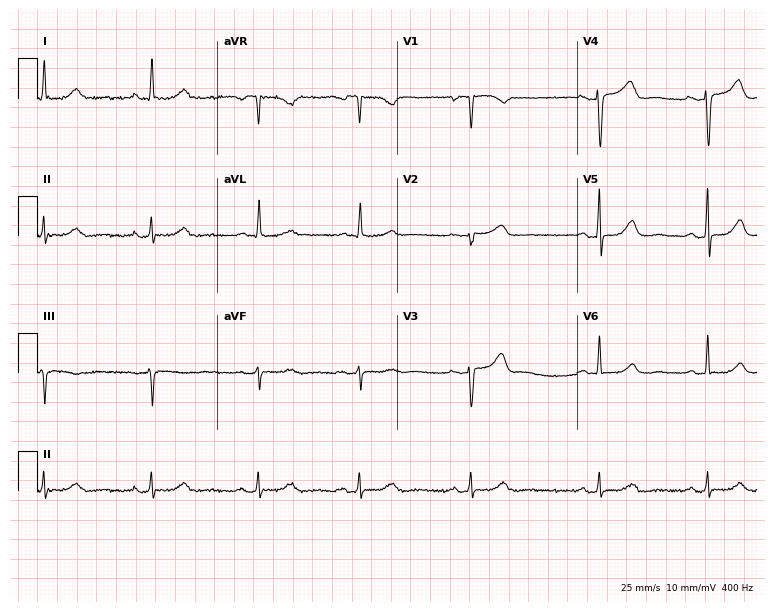
12-lead ECG from a 53-year-old female patient (7.3-second recording at 400 Hz). No first-degree AV block, right bundle branch block, left bundle branch block, sinus bradycardia, atrial fibrillation or sinus tachycardia recorded for this tracing. Other findings, if any, are not listed.